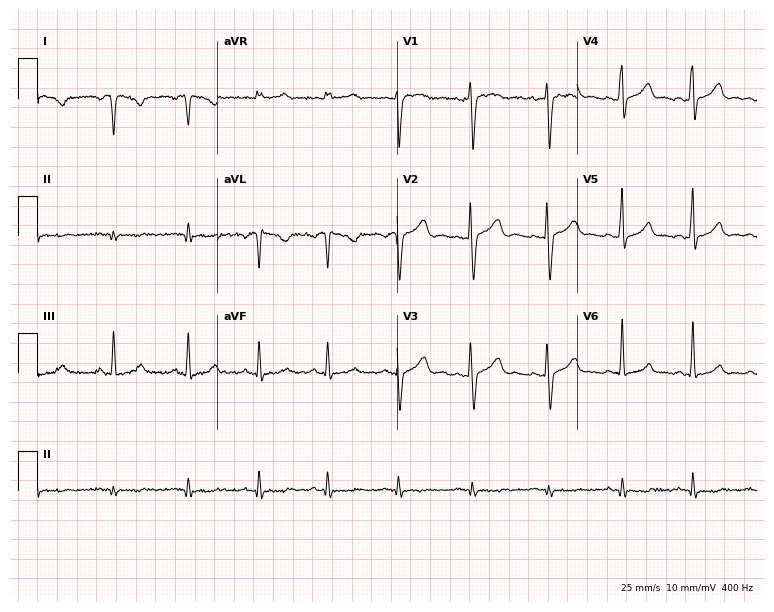
12-lead ECG from a 37-year-old woman. No first-degree AV block, right bundle branch block, left bundle branch block, sinus bradycardia, atrial fibrillation or sinus tachycardia recorded for this tracing. Other findings, if any, are not listed.